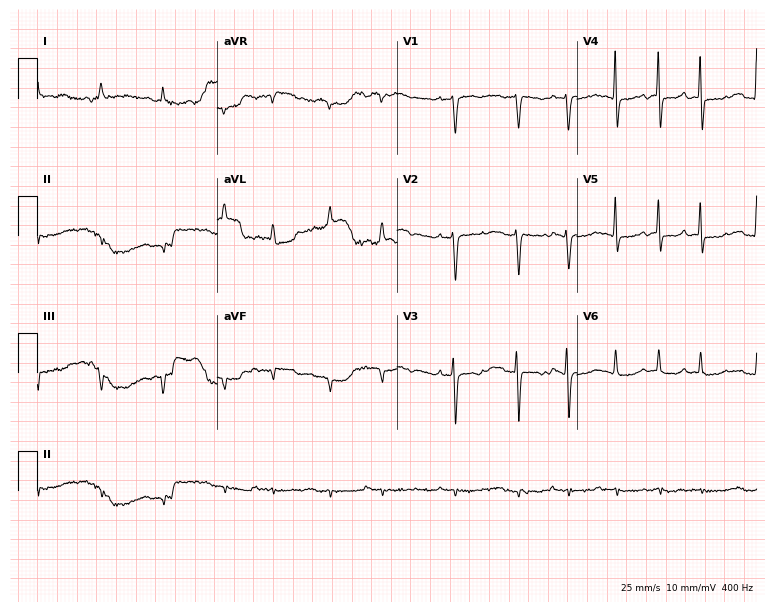
Resting 12-lead electrocardiogram (7.3-second recording at 400 Hz). Patient: a 58-year-old female. None of these six findings is recorded: first-degree AV block, right bundle branch block, left bundle branch block, sinus bradycardia, atrial fibrillation, sinus tachycardia. Findings outside these six are not listed.